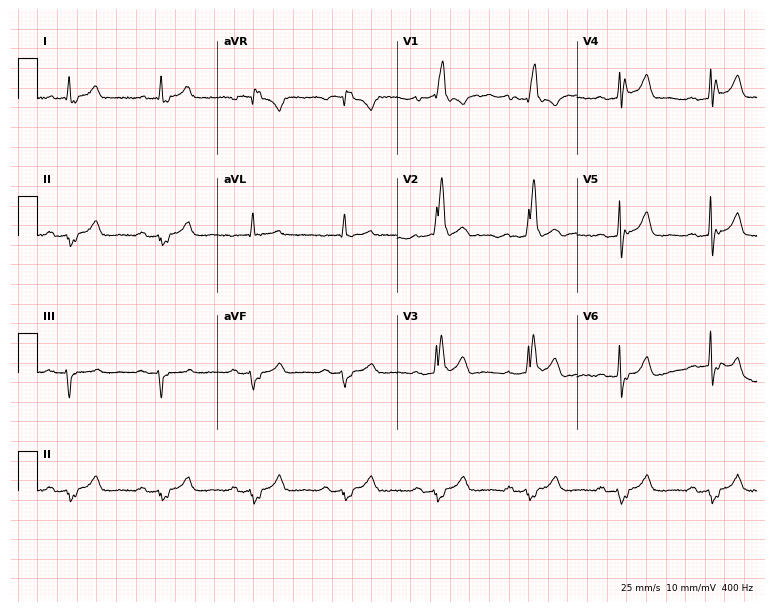
Resting 12-lead electrocardiogram (7.3-second recording at 400 Hz). Patient: a 64-year-old male. The tracing shows right bundle branch block.